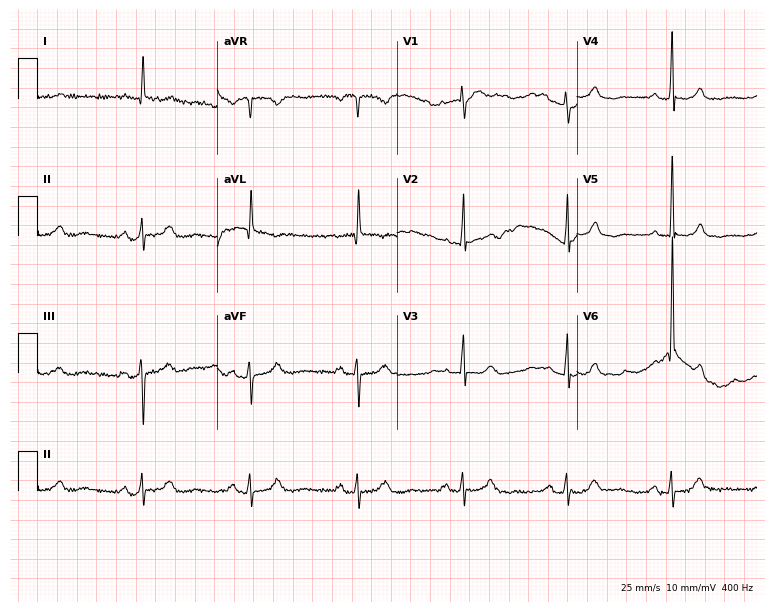
Standard 12-lead ECG recorded from a female, 77 years old (7.3-second recording at 400 Hz). Read as a normal ECG.